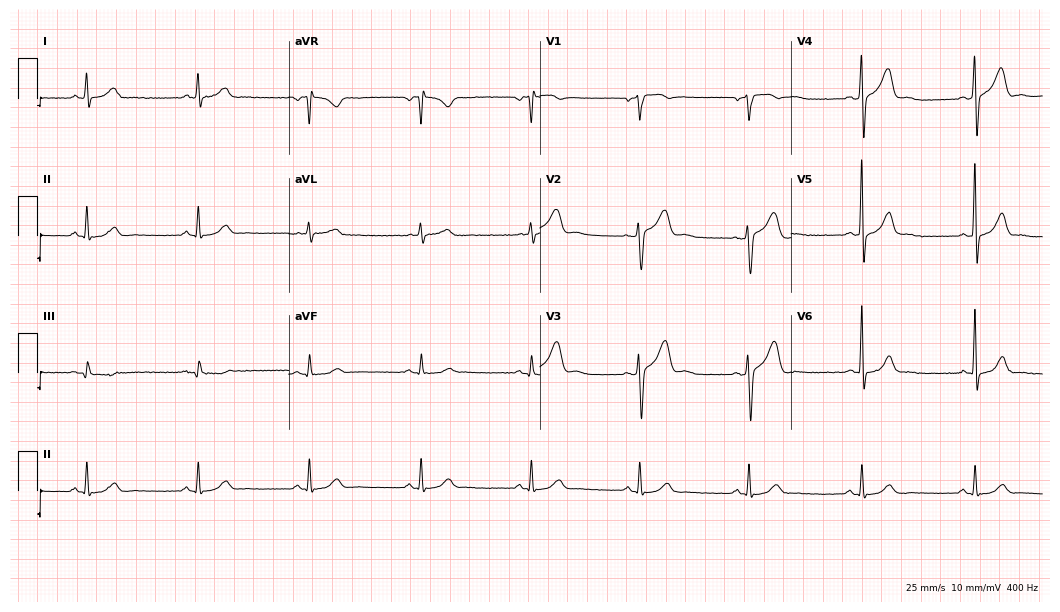
Resting 12-lead electrocardiogram (10.2-second recording at 400 Hz). Patient: a 57-year-old male. None of these six findings is recorded: first-degree AV block, right bundle branch block, left bundle branch block, sinus bradycardia, atrial fibrillation, sinus tachycardia. Other findings, if any, are not listed.